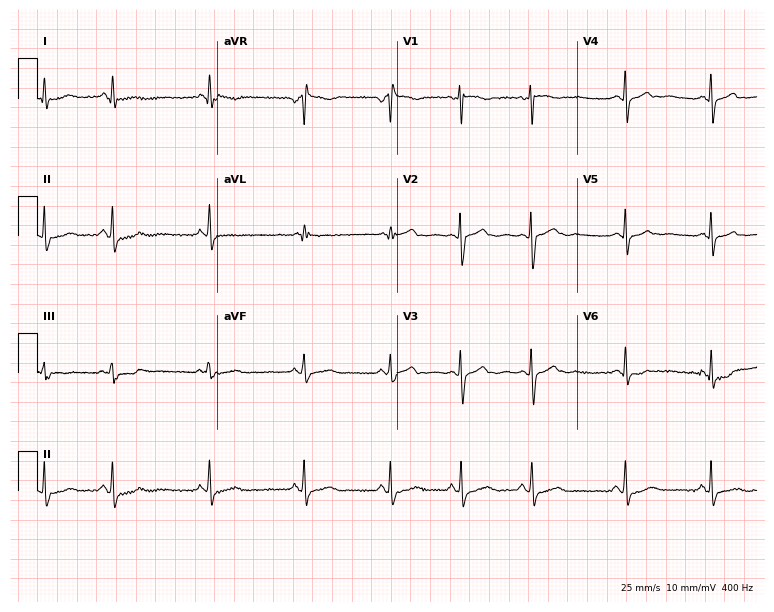
12-lead ECG from a female, 18 years old. Screened for six findings — first-degree AV block, right bundle branch block (RBBB), left bundle branch block (LBBB), sinus bradycardia, atrial fibrillation (AF), sinus tachycardia — none is recorded.